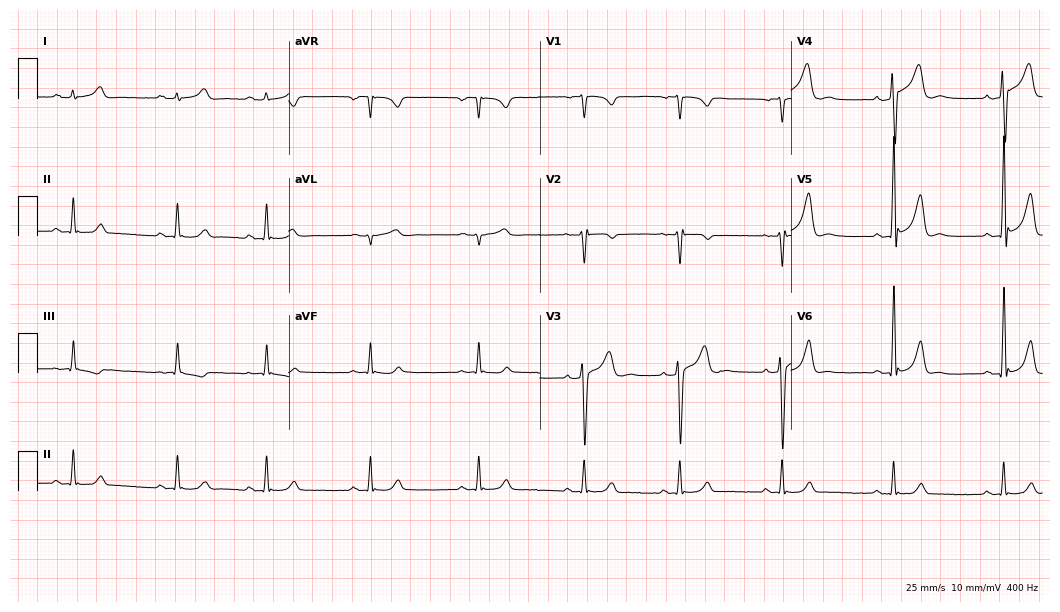
Resting 12-lead electrocardiogram (10.2-second recording at 400 Hz). Patient: a male, 20 years old. Read as a normal ECG.